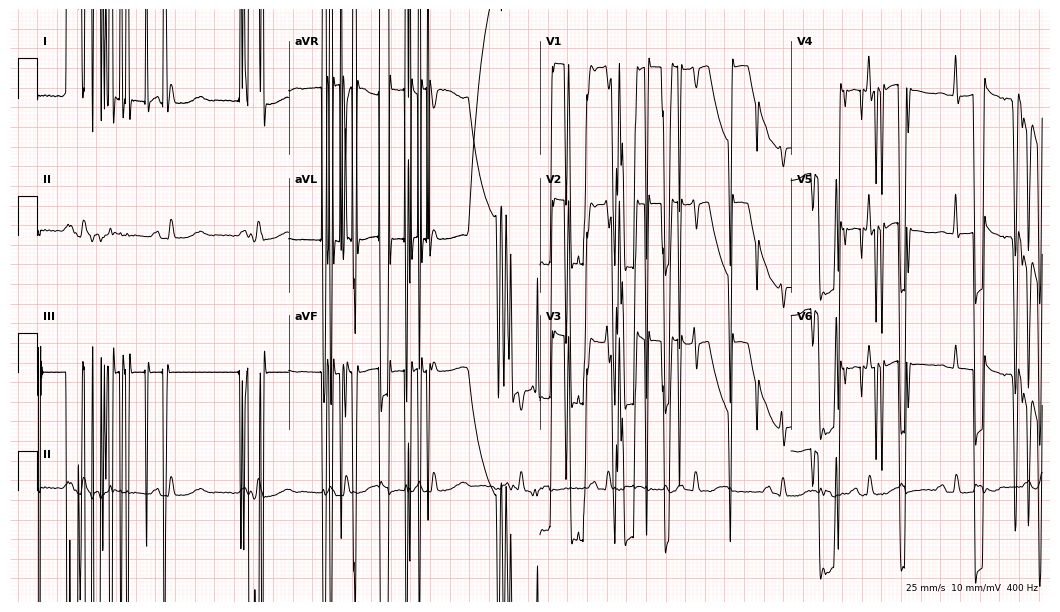
12-lead ECG (10.2-second recording at 400 Hz) from a woman, 82 years old. Screened for six findings — first-degree AV block, right bundle branch block, left bundle branch block, sinus bradycardia, atrial fibrillation, sinus tachycardia — none is recorded. Only these six findings were labelled.